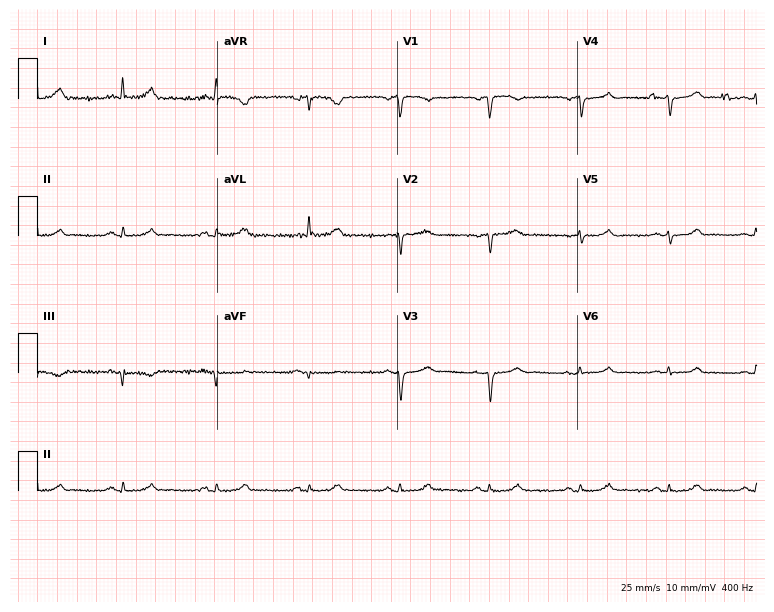
12-lead ECG (7.3-second recording at 400 Hz) from a 56-year-old female patient. Labelled as a normal ECG.